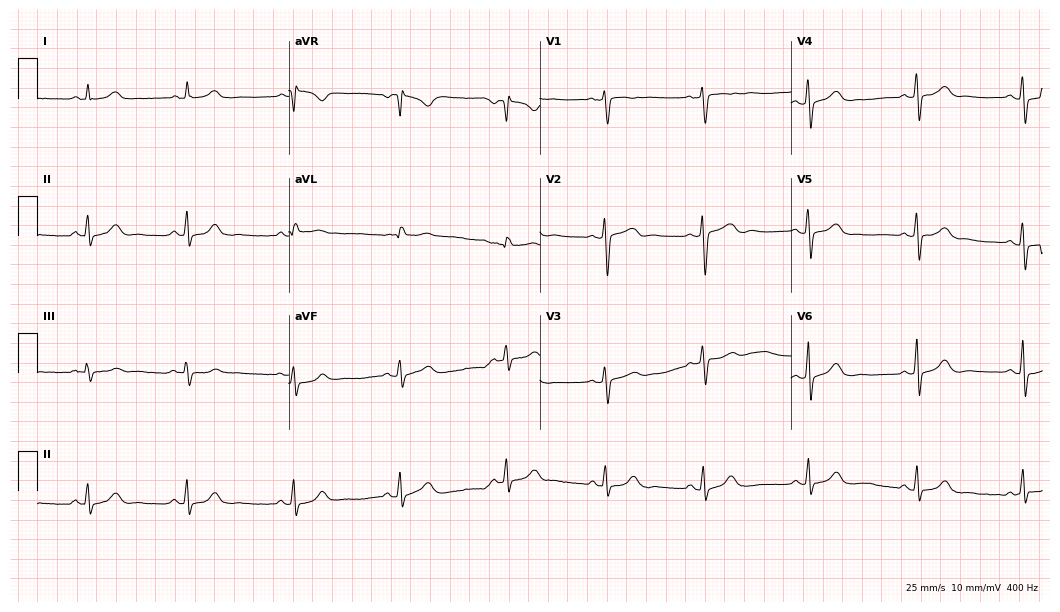
Standard 12-lead ECG recorded from a 44-year-old female (10.2-second recording at 400 Hz). Read as a normal ECG.